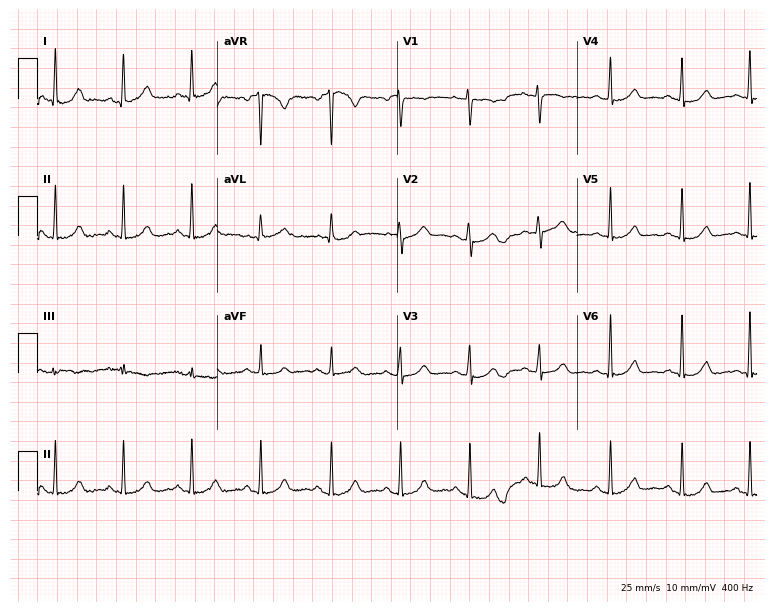
12-lead ECG from a 39-year-old female patient. Recorded interpretation: within normal limits.